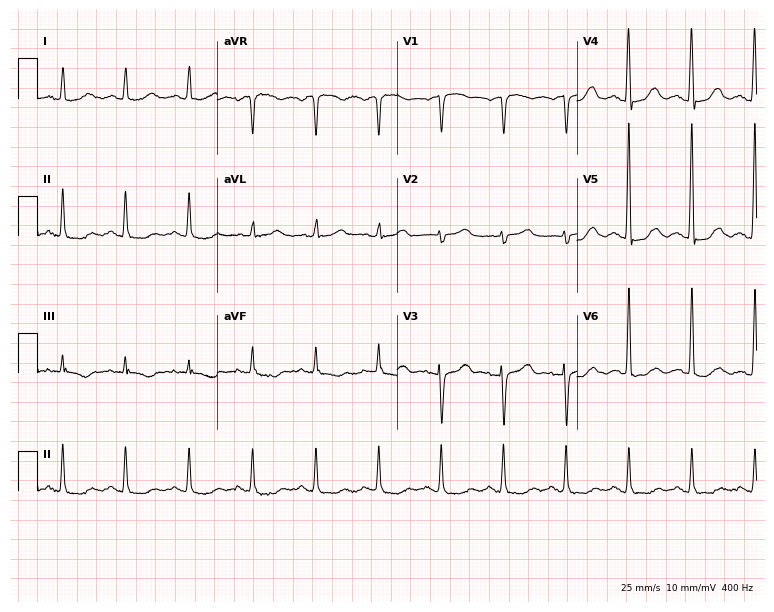
12-lead ECG (7.3-second recording at 400 Hz) from a female patient, 63 years old. Screened for six findings — first-degree AV block, right bundle branch block, left bundle branch block, sinus bradycardia, atrial fibrillation, sinus tachycardia — none is recorded.